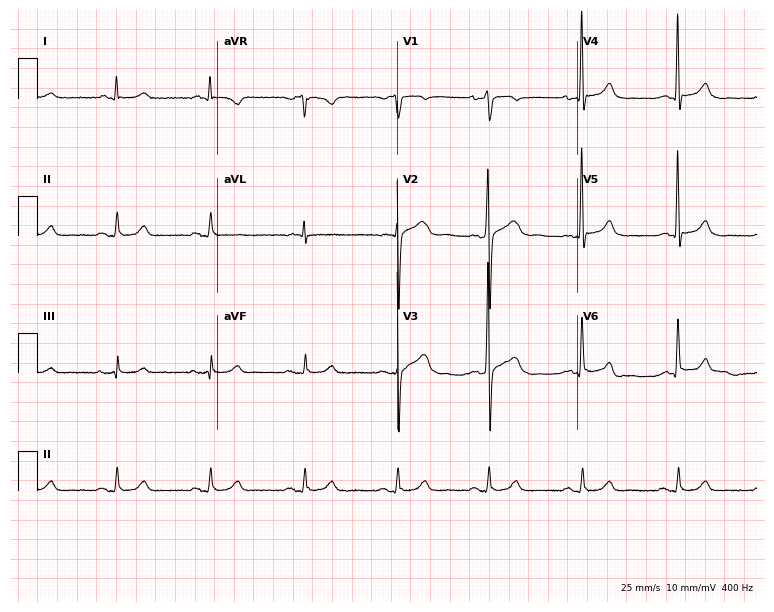
ECG — a 74-year-old man. Labelled as a normal ECG.